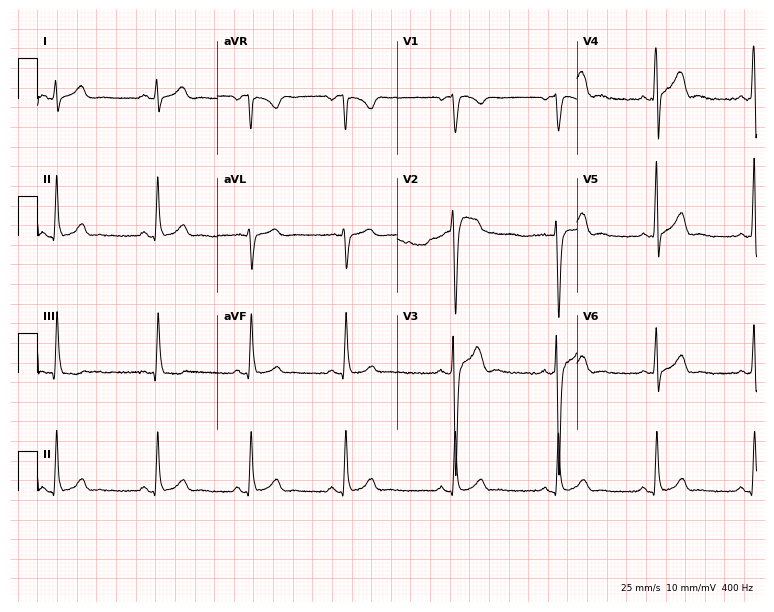
12-lead ECG (7.3-second recording at 400 Hz) from a 27-year-old male patient. Labelled as a normal ECG.